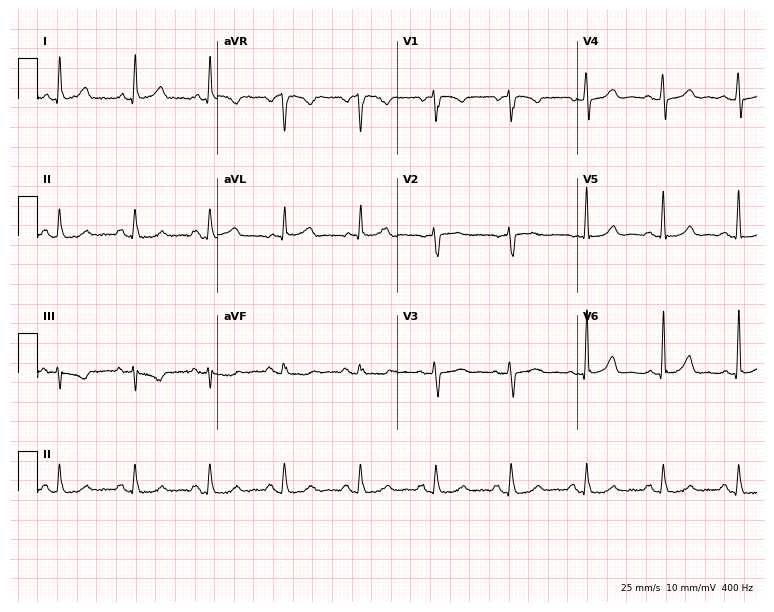
Electrocardiogram, a woman, 75 years old. Of the six screened findings (first-degree AV block, right bundle branch block (RBBB), left bundle branch block (LBBB), sinus bradycardia, atrial fibrillation (AF), sinus tachycardia), none is recorded.